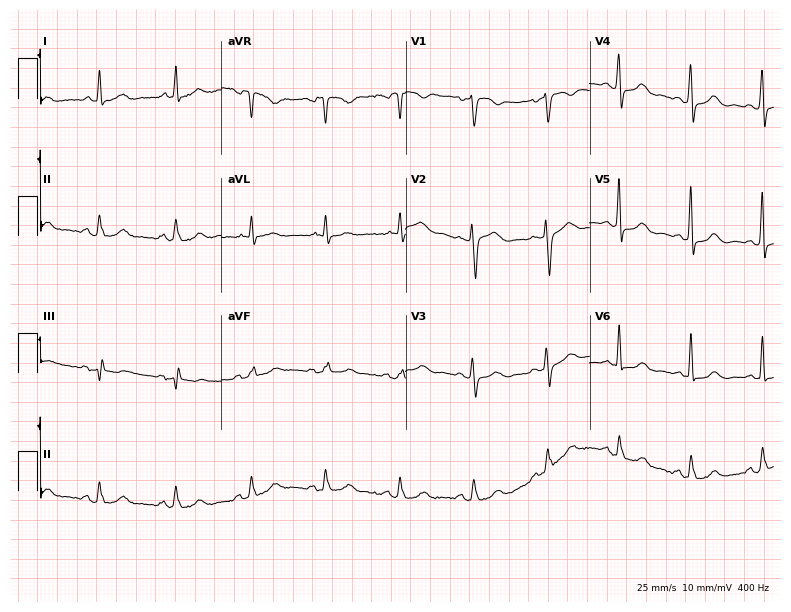
12-lead ECG from a 75-year-old female (7.5-second recording at 400 Hz). Recorded interpretation: within normal limits.